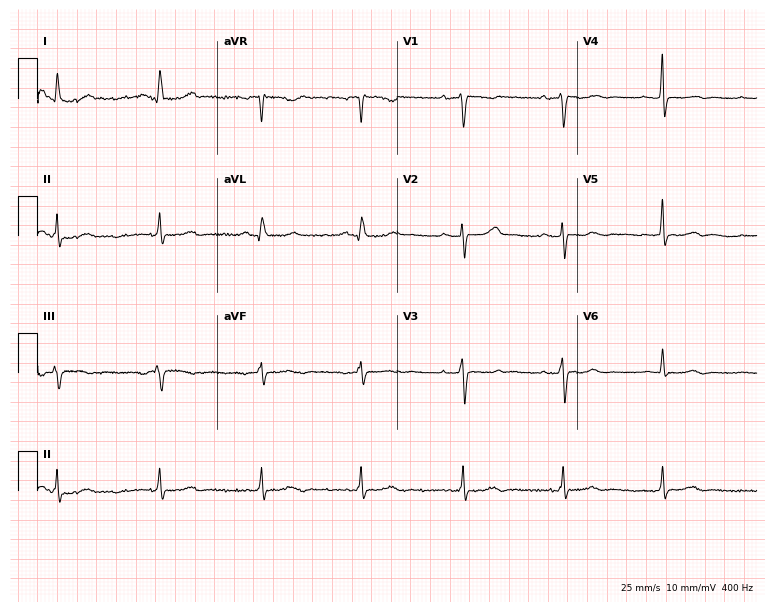
Standard 12-lead ECG recorded from a female patient, 45 years old (7.3-second recording at 400 Hz). None of these six findings is recorded: first-degree AV block, right bundle branch block, left bundle branch block, sinus bradycardia, atrial fibrillation, sinus tachycardia. Only these six findings were labelled.